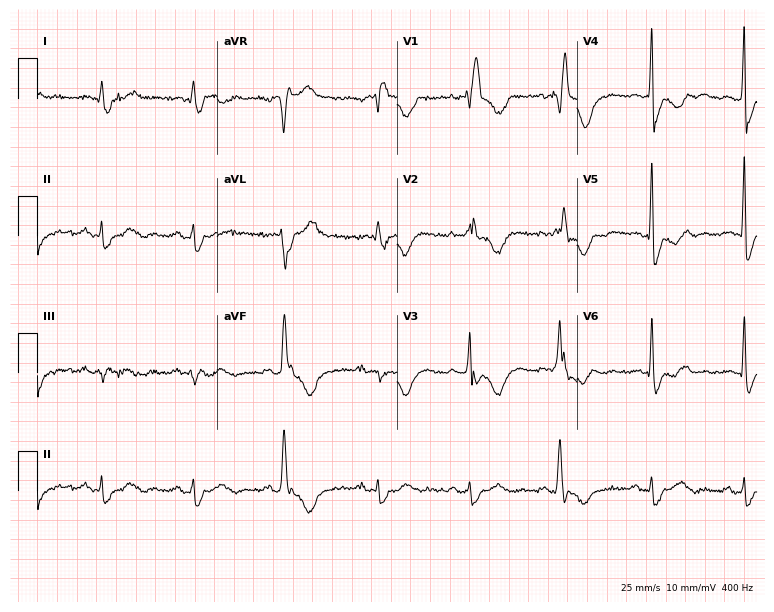
12-lead ECG from a 66-year-old female (7.3-second recording at 400 Hz). Shows right bundle branch block (RBBB).